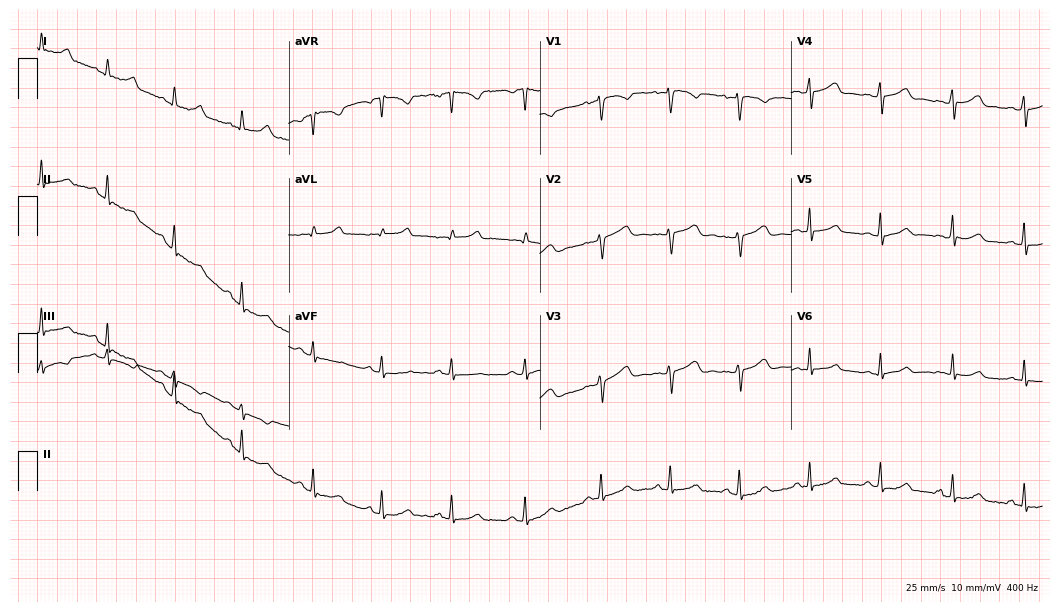
ECG (10.2-second recording at 400 Hz) — a 17-year-old female patient. Screened for six findings — first-degree AV block, right bundle branch block (RBBB), left bundle branch block (LBBB), sinus bradycardia, atrial fibrillation (AF), sinus tachycardia — none is recorded. Only these six findings were labelled.